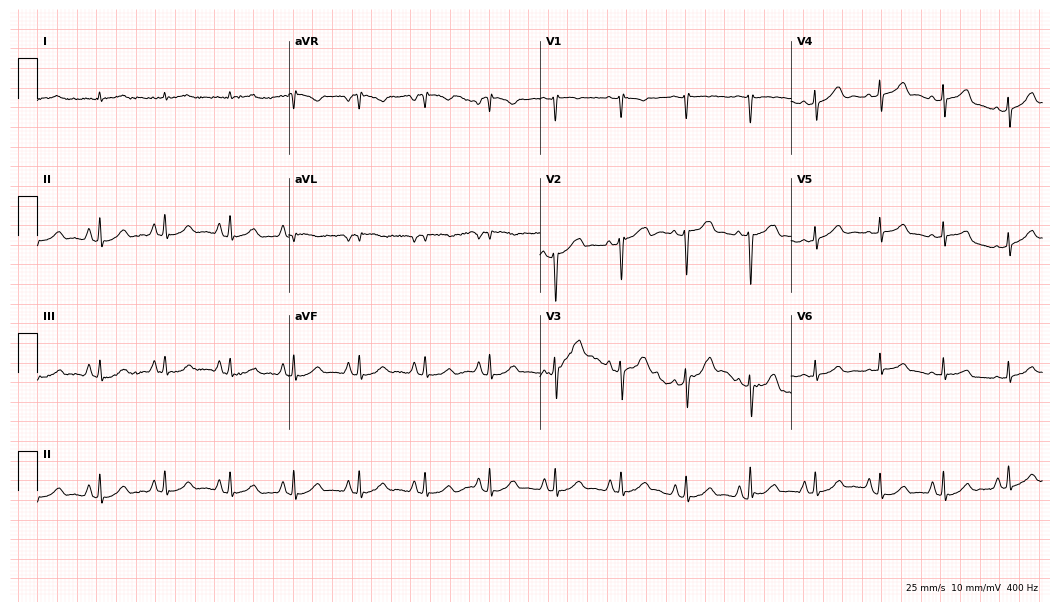
Electrocardiogram (10.2-second recording at 400 Hz), a male patient, 70 years old. Overall reading on record: normal ECG.